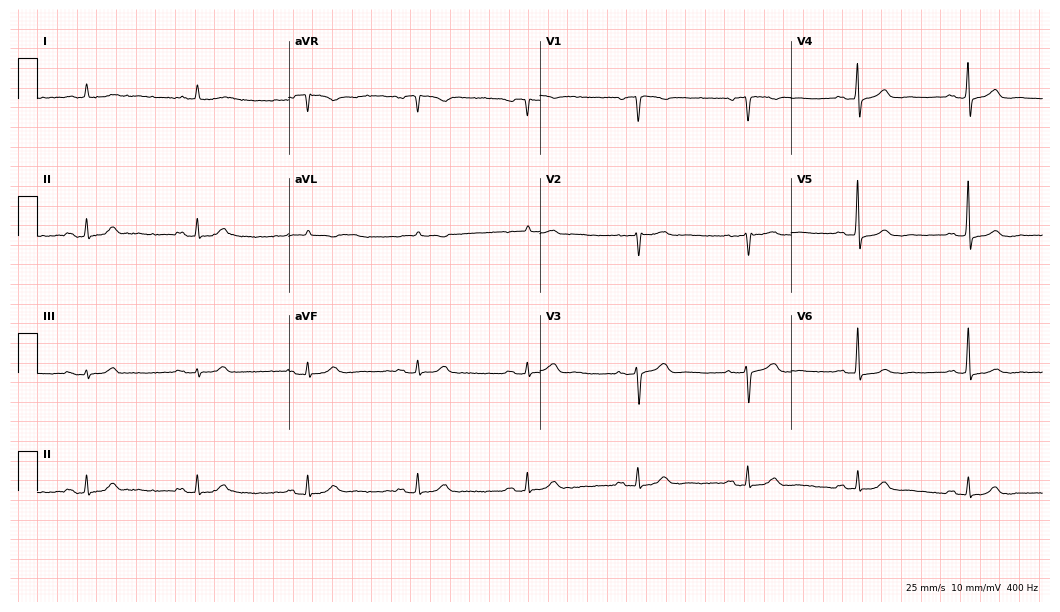
12-lead ECG from an 83-year-old male (10.2-second recording at 400 Hz). Shows first-degree AV block.